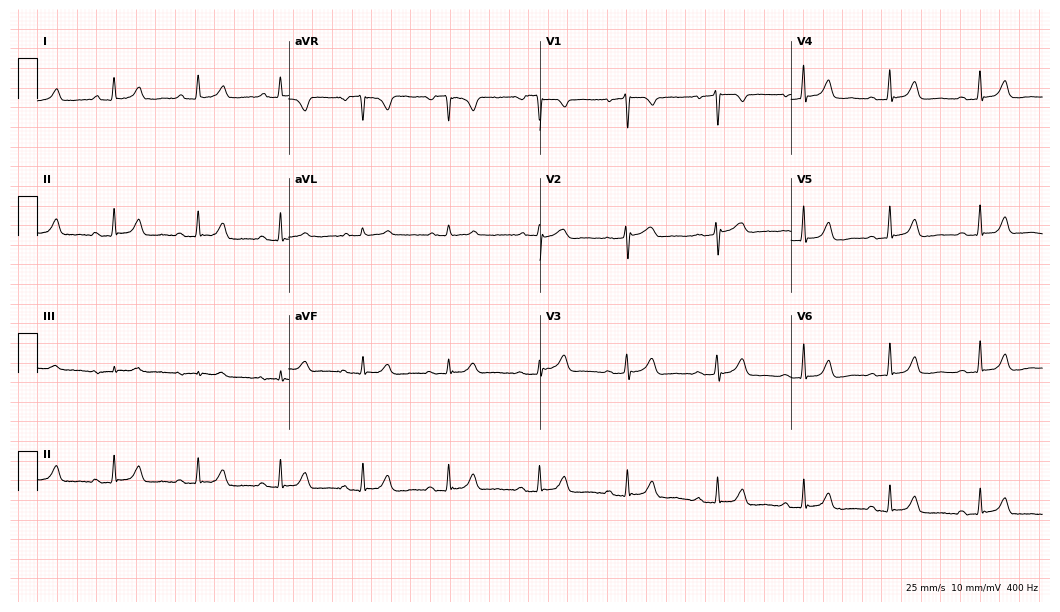
Resting 12-lead electrocardiogram. Patient: a 62-year-old female. Read as a normal ECG.